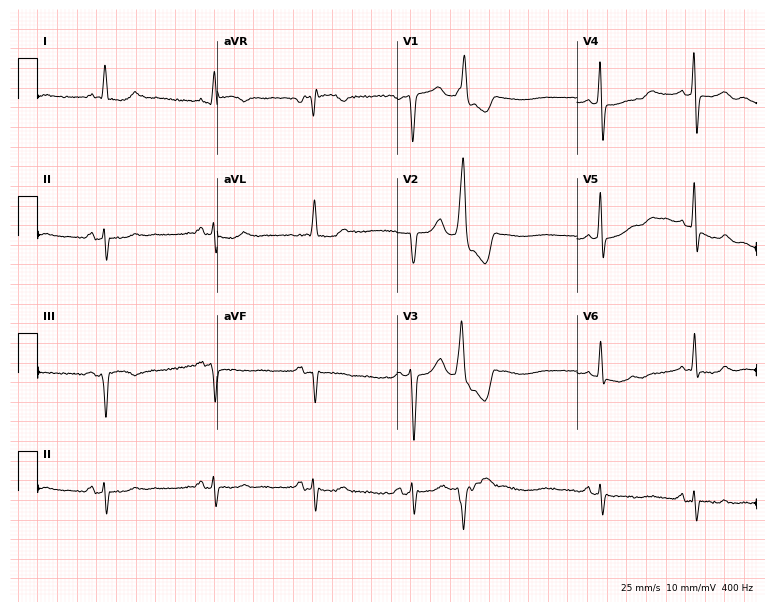
Electrocardiogram, a female, 73 years old. Of the six screened findings (first-degree AV block, right bundle branch block, left bundle branch block, sinus bradycardia, atrial fibrillation, sinus tachycardia), none is recorded.